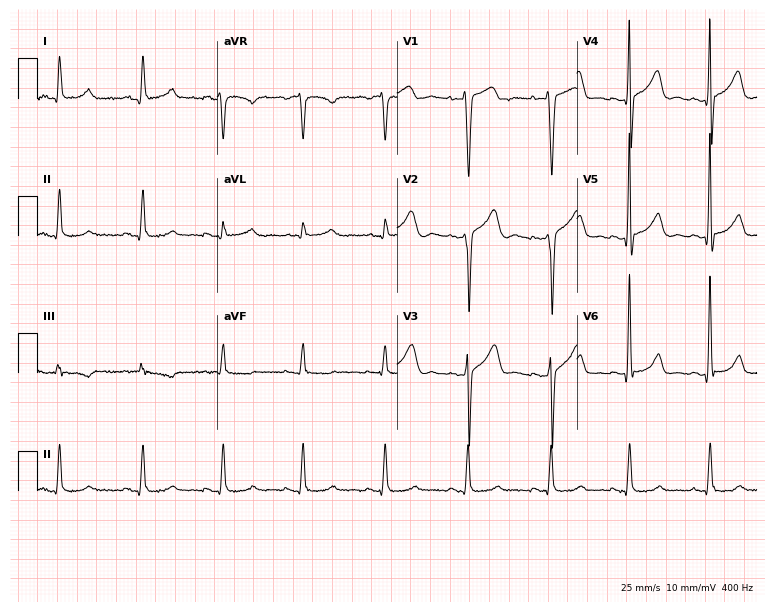
Standard 12-lead ECG recorded from a 44-year-old female patient (7.3-second recording at 400 Hz). None of these six findings is recorded: first-degree AV block, right bundle branch block (RBBB), left bundle branch block (LBBB), sinus bradycardia, atrial fibrillation (AF), sinus tachycardia. Only these six findings were labelled.